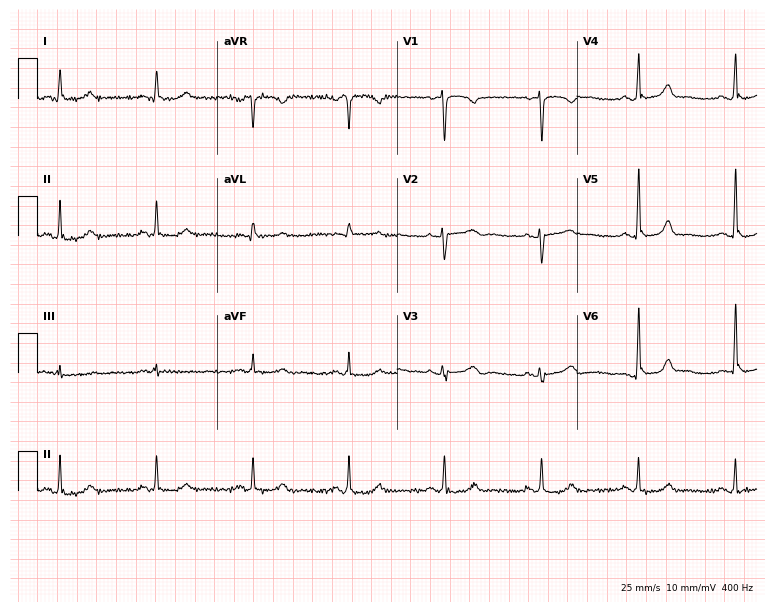
Standard 12-lead ECG recorded from a female patient, 55 years old (7.3-second recording at 400 Hz). Read as a normal ECG.